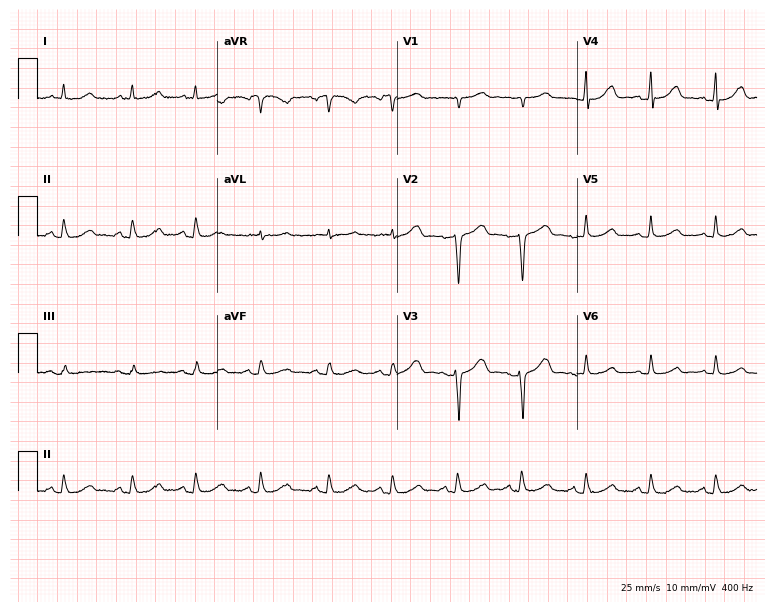
Electrocardiogram, a woman, 55 years old. Of the six screened findings (first-degree AV block, right bundle branch block, left bundle branch block, sinus bradycardia, atrial fibrillation, sinus tachycardia), none is recorded.